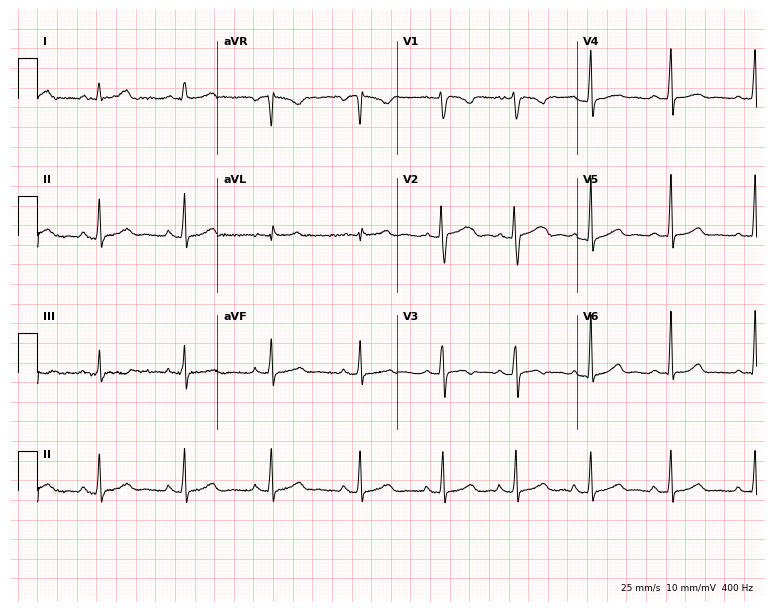
12-lead ECG from a female, 26 years old (7.3-second recording at 400 Hz). Recorded interpretation: within normal limits.